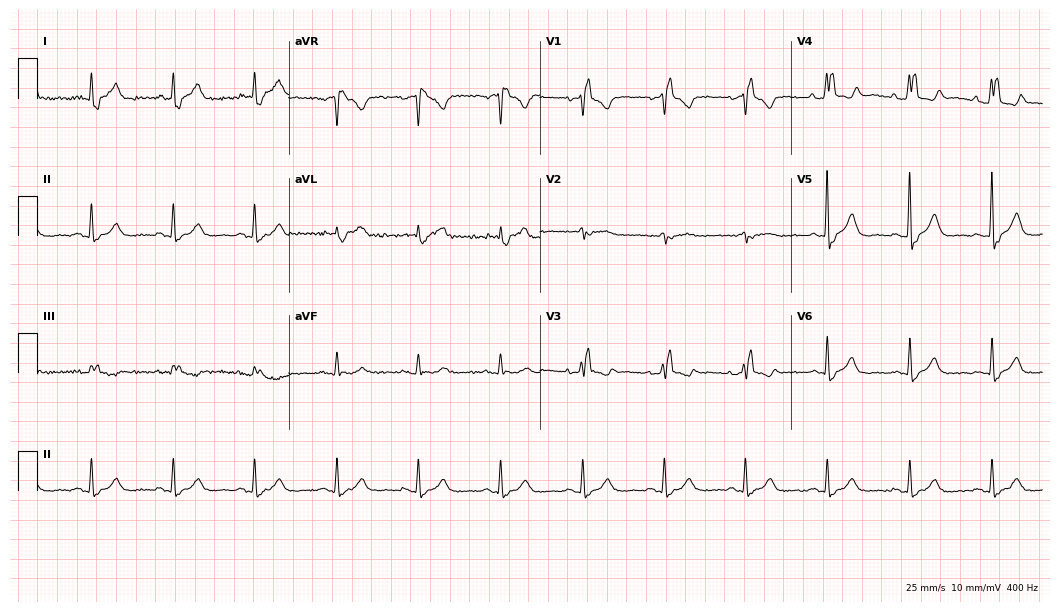
Electrocardiogram, a man, 79 years old. Interpretation includes right bundle branch block.